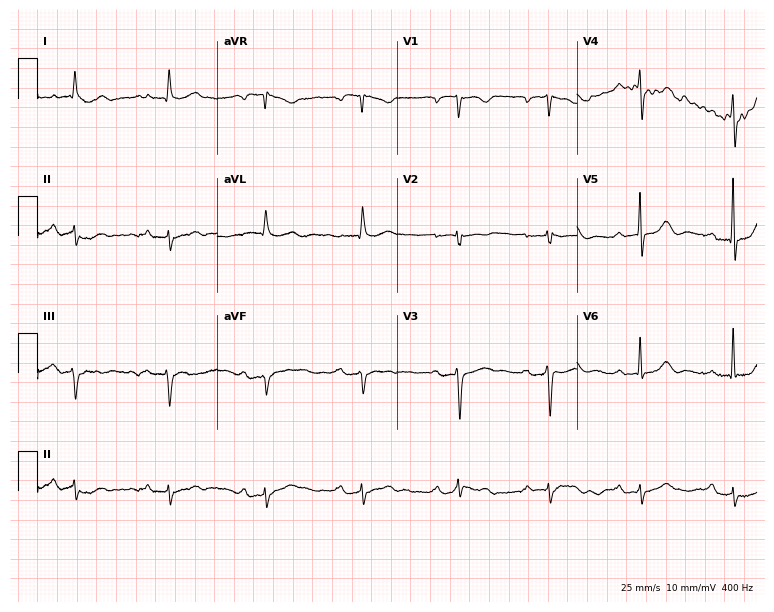
Standard 12-lead ECG recorded from a male, 77 years old (7.3-second recording at 400 Hz). The tracing shows first-degree AV block.